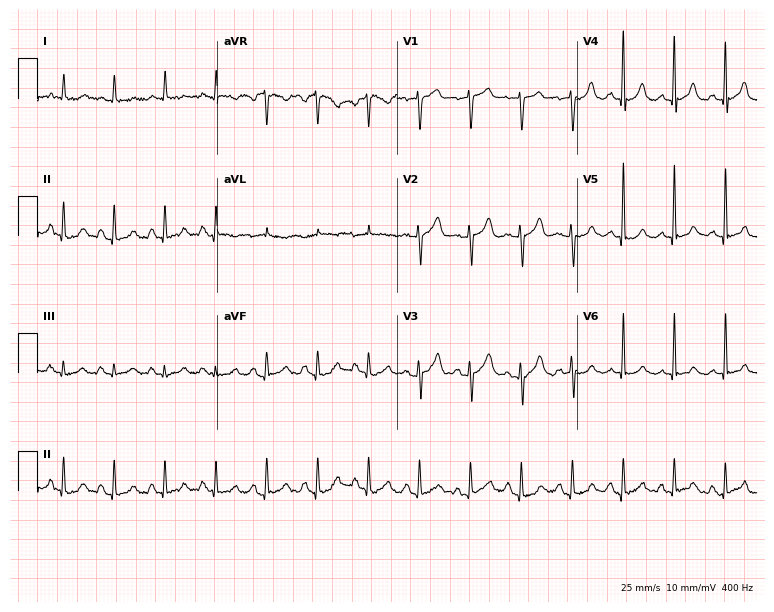
12-lead ECG from a 71-year-old female patient. Findings include sinus tachycardia (a sinus rate of 100 beats per minute or more).